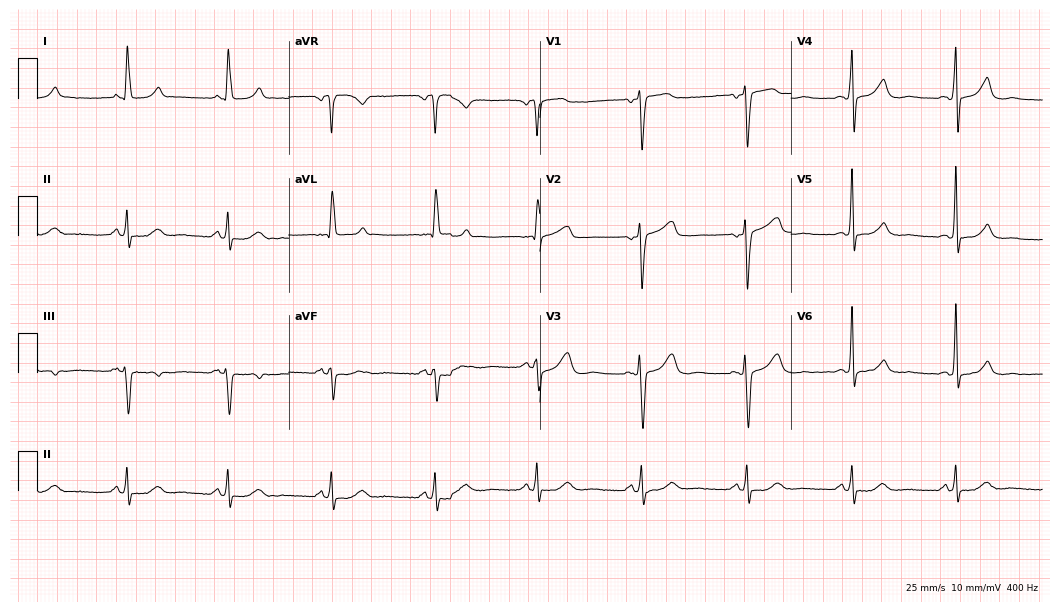
Standard 12-lead ECG recorded from a woman, 68 years old (10.2-second recording at 400 Hz). Read as a normal ECG.